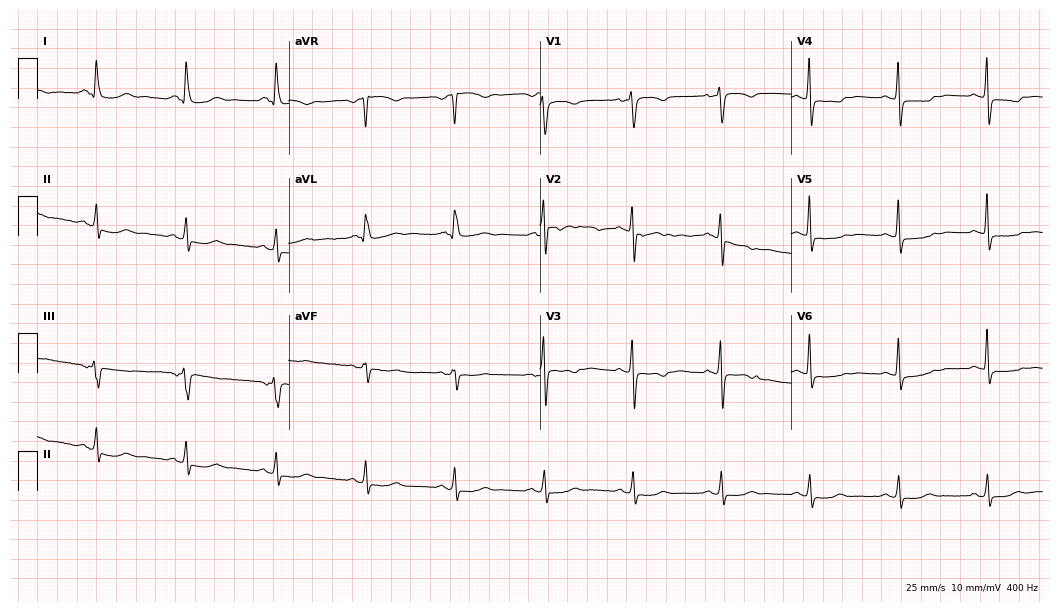
12-lead ECG from a female patient, 56 years old. Screened for six findings — first-degree AV block, right bundle branch block, left bundle branch block, sinus bradycardia, atrial fibrillation, sinus tachycardia — none is recorded. Other findings, if any, are not listed.